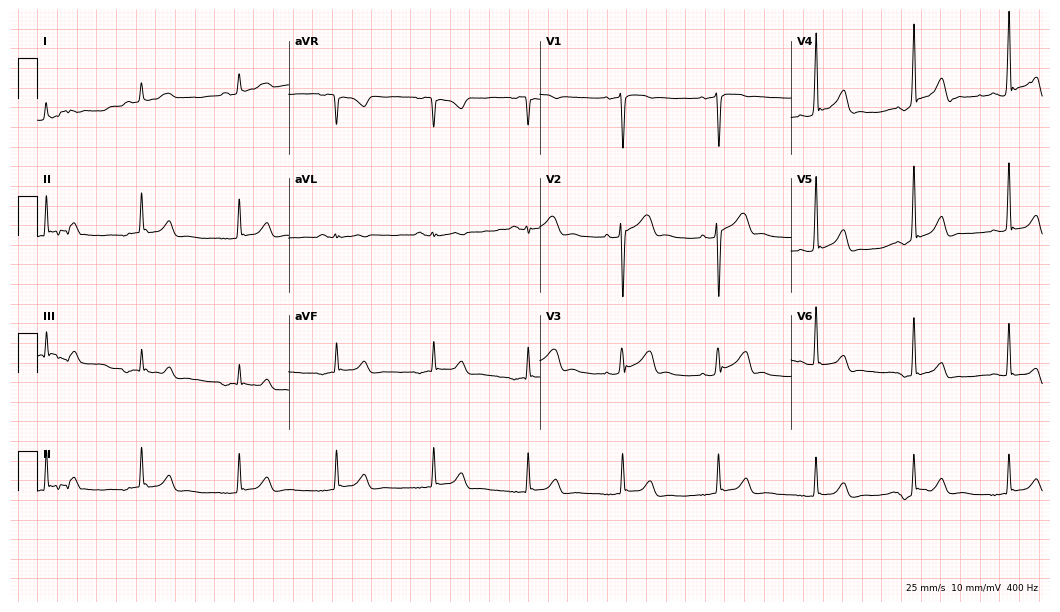
Standard 12-lead ECG recorded from a 30-year-old male. Read as a normal ECG.